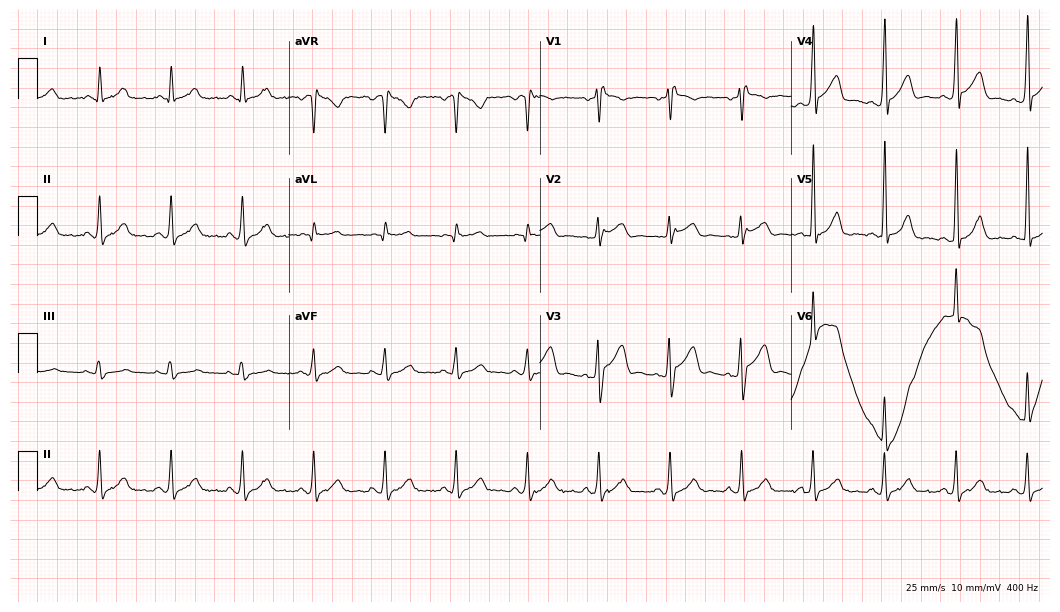
Electrocardiogram (10.2-second recording at 400 Hz), a female, 76 years old. Of the six screened findings (first-degree AV block, right bundle branch block, left bundle branch block, sinus bradycardia, atrial fibrillation, sinus tachycardia), none is recorded. Other findings, if any, are not listed.